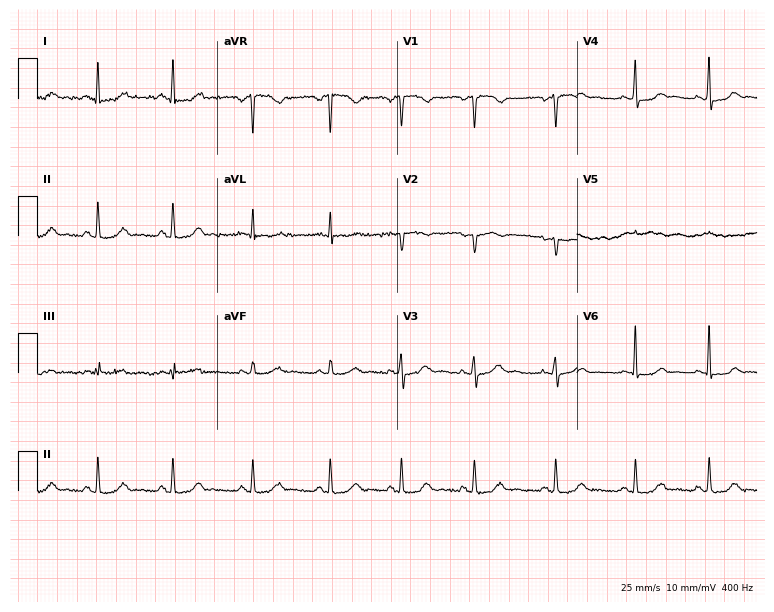
12-lead ECG from a female patient, 27 years old. Screened for six findings — first-degree AV block, right bundle branch block (RBBB), left bundle branch block (LBBB), sinus bradycardia, atrial fibrillation (AF), sinus tachycardia — none is recorded. Findings outside these six are not listed.